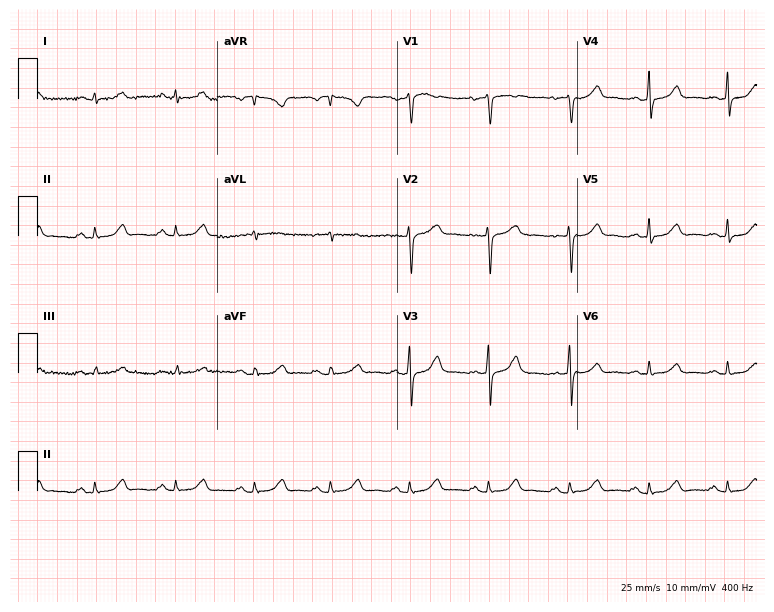
12-lead ECG (7.3-second recording at 400 Hz) from a 42-year-old woman. Labelled as a normal ECG.